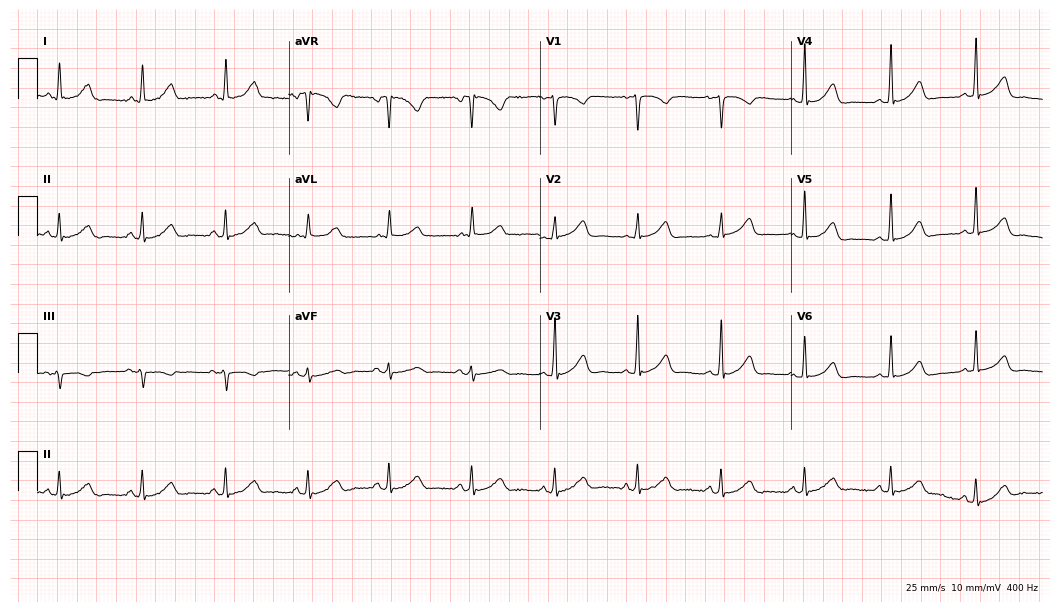
12-lead ECG (10.2-second recording at 400 Hz) from a female patient, 45 years old. Labelled as a normal ECG.